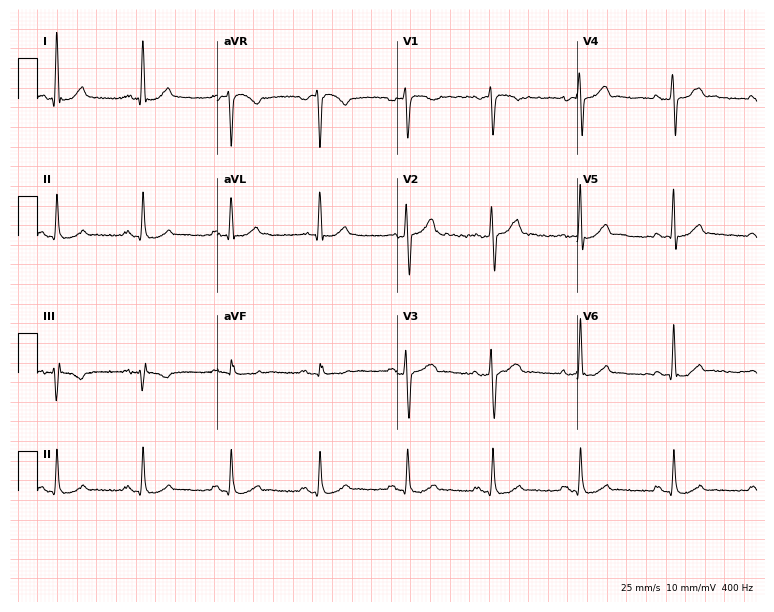
Standard 12-lead ECG recorded from a 44-year-old male patient. Read as a normal ECG.